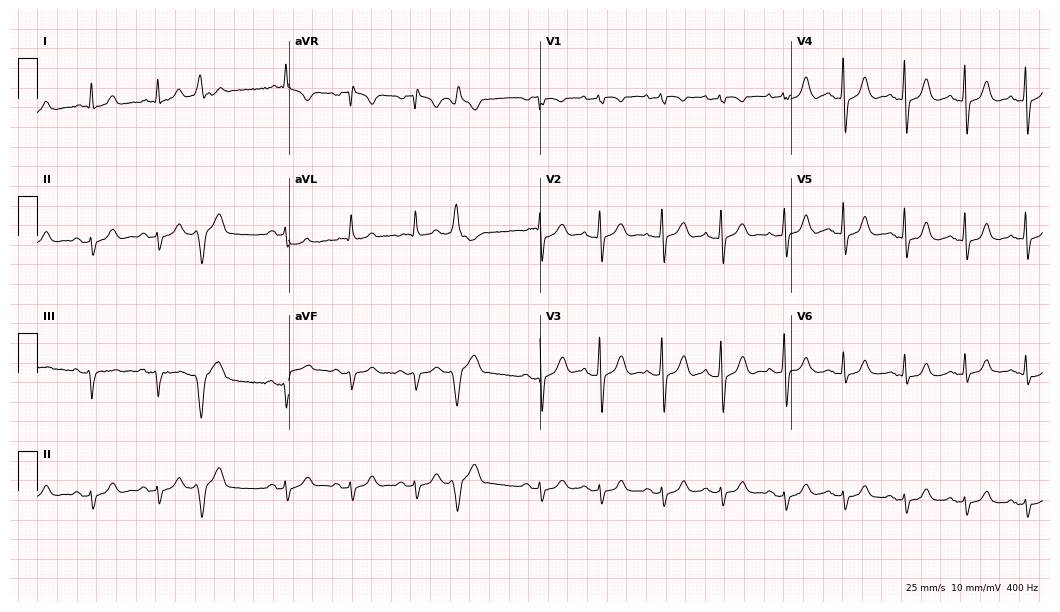
Resting 12-lead electrocardiogram (10.2-second recording at 400 Hz). Patient: a 58-year-old male. None of these six findings is recorded: first-degree AV block, right bundle branch block (RBBB), left bundle branch block (LBBB), sinus bradycardia, atrial fibrillation (AF), sinus tachycardia. Findings outside these six are not listed.